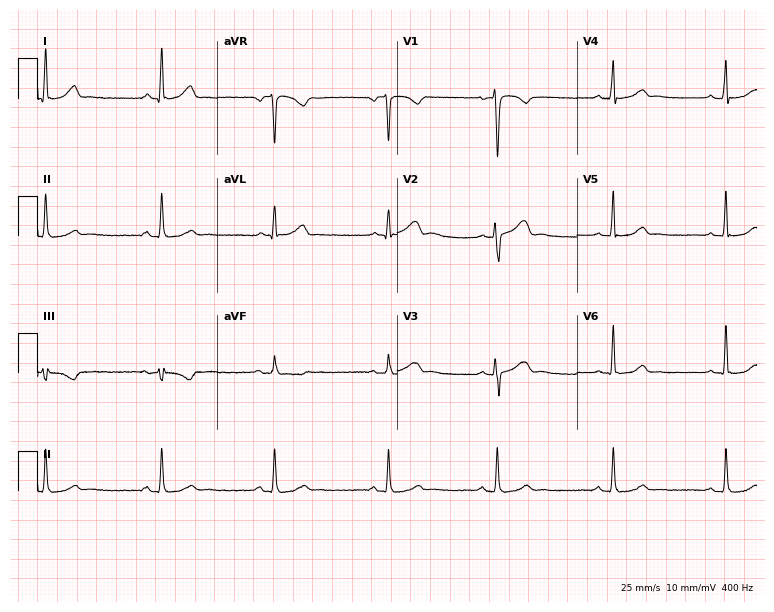
Electrocardiogram, a 35-year-old female patient. Of the six screened findings (first-degree AV block, right bundle branch block (RBBB), left bundle branch block (LBBB), sinus bradycardia, atrial fibrillation (AF), sinus tachycardia), none is recorded.